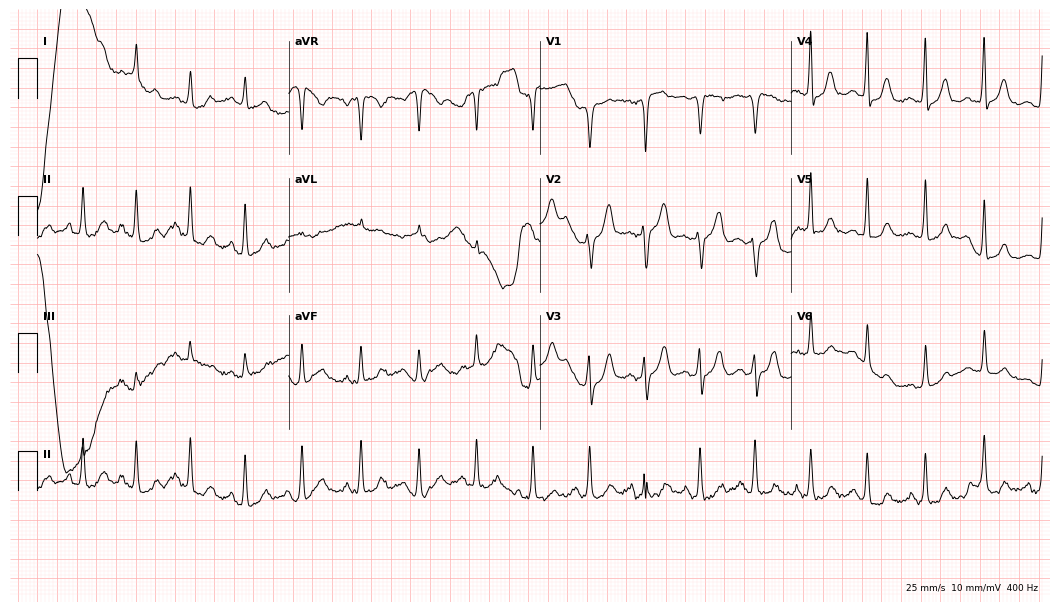
Standard 12-lead ECG recorded from a 50-year-old female patient. None of these six findings is recorded: first-degree AV block, right bundle branch block (RBBB), left bundle branch block (LBBB), sinus bradycardia, atrial fibrillation (AF), sinus tachycardia.